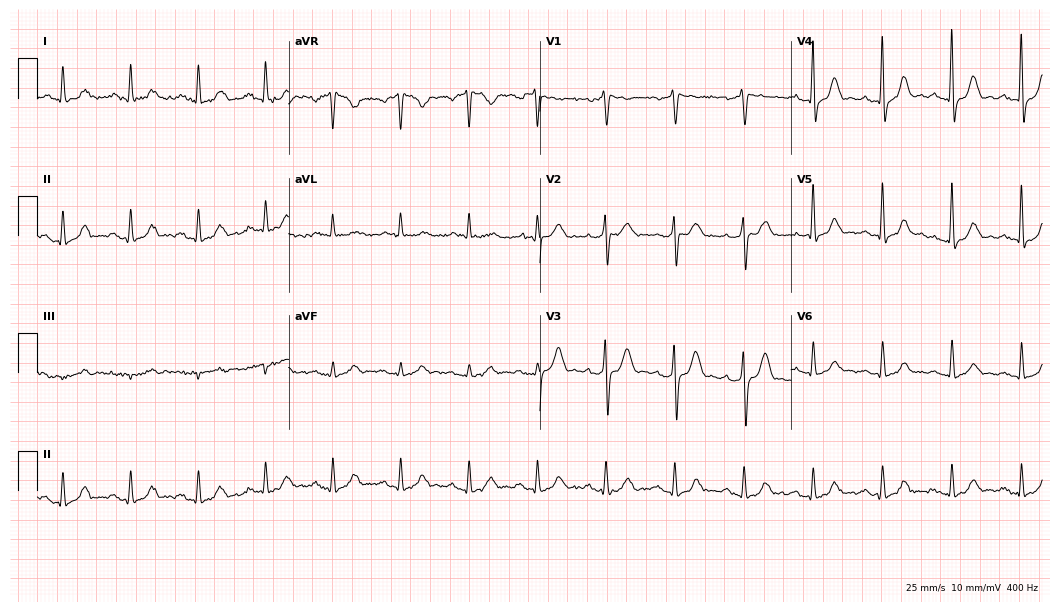
Resting 12-lead electrocardiogram. Patient: a male, 76 years old. Read as a normal ECG.